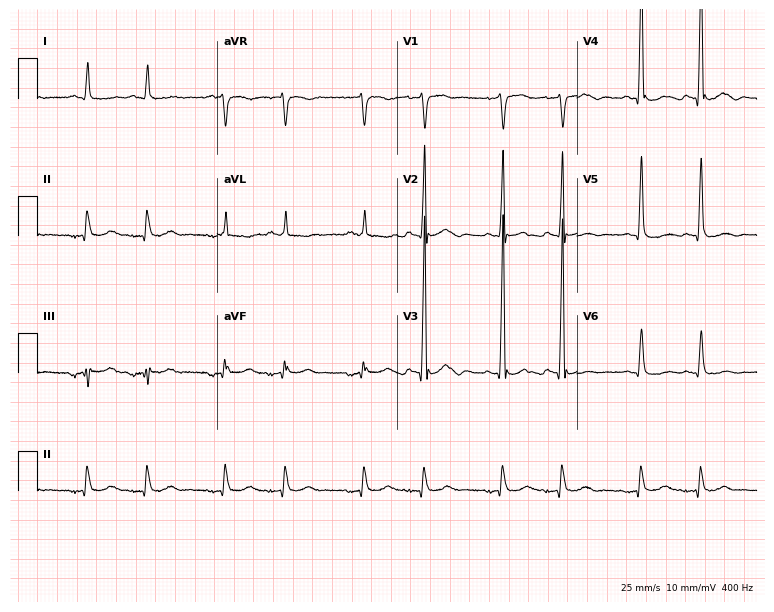
Resting 12-lead electrocardiogram (7.3-second recording at 400 Hz). Patient: a male, 79 years old. None of these six findings is recorded: first-degree AV block, right bundle branch block (RBBB), left bundle branch block (LBBB), sinus bradycardia, atrial fibrillation (AF), sinus tachycardia.